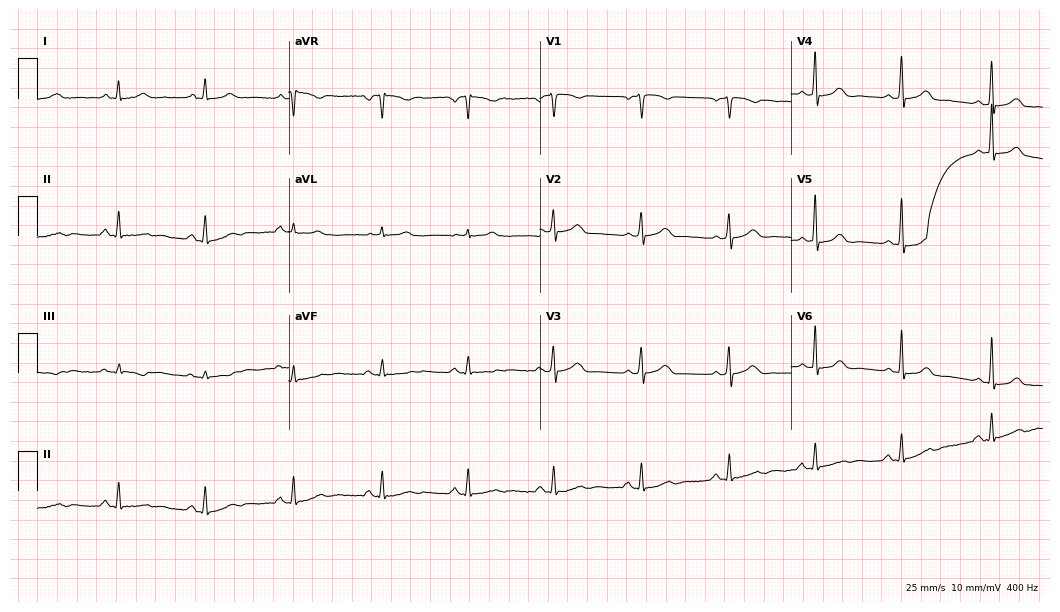
Standard 12-lead ECG recorded from a 40-year-old female. Read as a normal ECG.